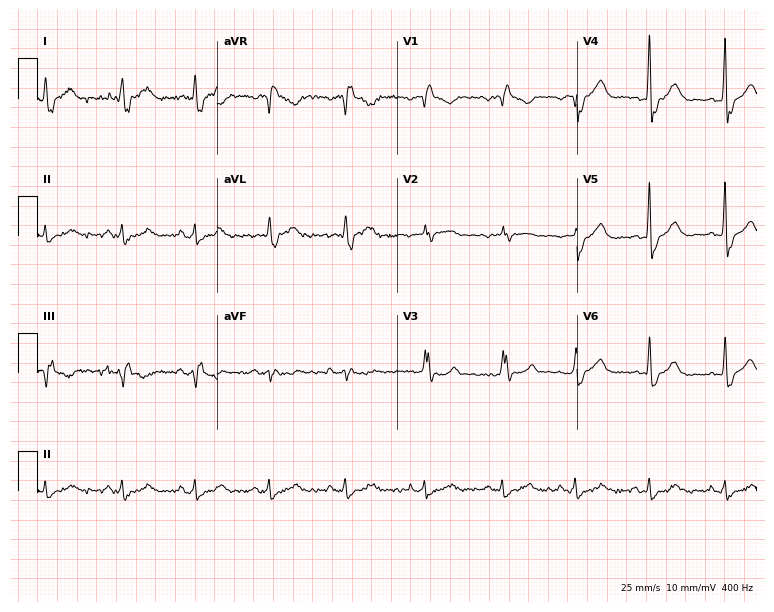
Standard 12-lead ECG recorded from a woman, 80 years old (7.3-second recording at 400 Hz). The tracing shows right bundle branch block.